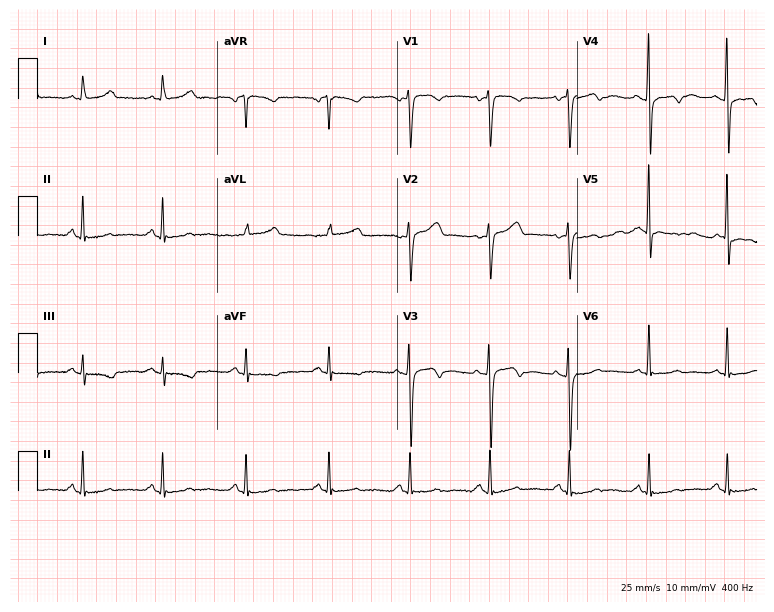
12-lead ECG from a woman, 47 years old. No first-degree AV block, right bundle branch block, left bundle branch block, sinus bradycardia, atrial fibrillation or sinus tachycardia recorded for this tracing. Findings outside these six are not listed.